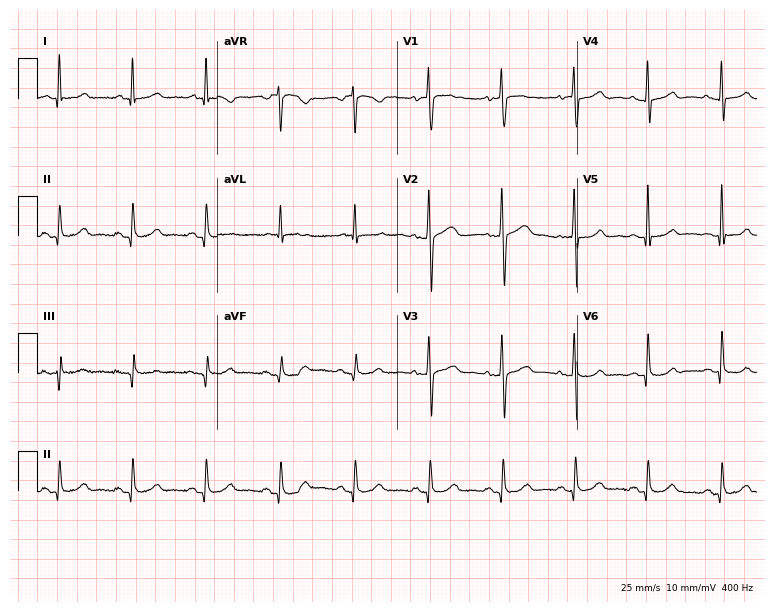
12-lead ECG from a female, 56 years old. Recorded interpretation: within normal limits.